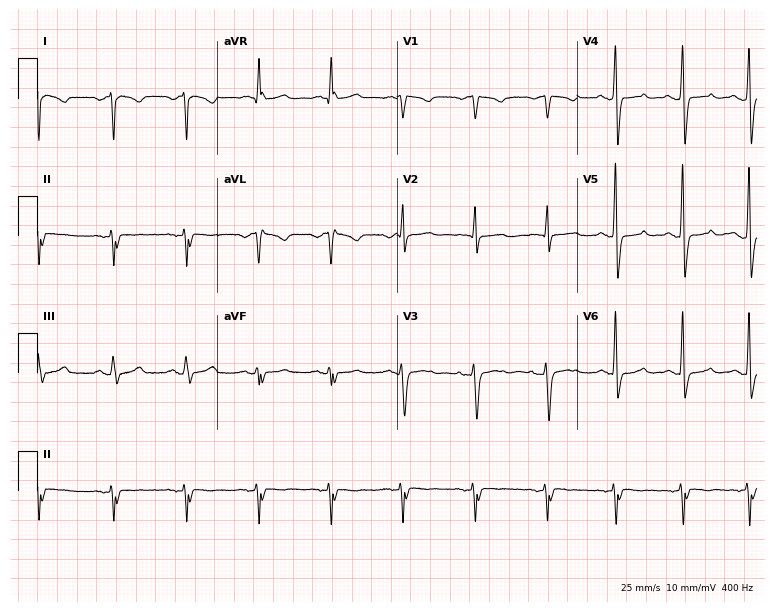
ECG (7.3-second recording at 400 Hz) — a 73-year-old female. Screened for six findings — first-degree AV block, right bundle branch block, left bundle branch block, sinus bradycardia, atrial fibrillation, sinus tachycardia — none is recorded.